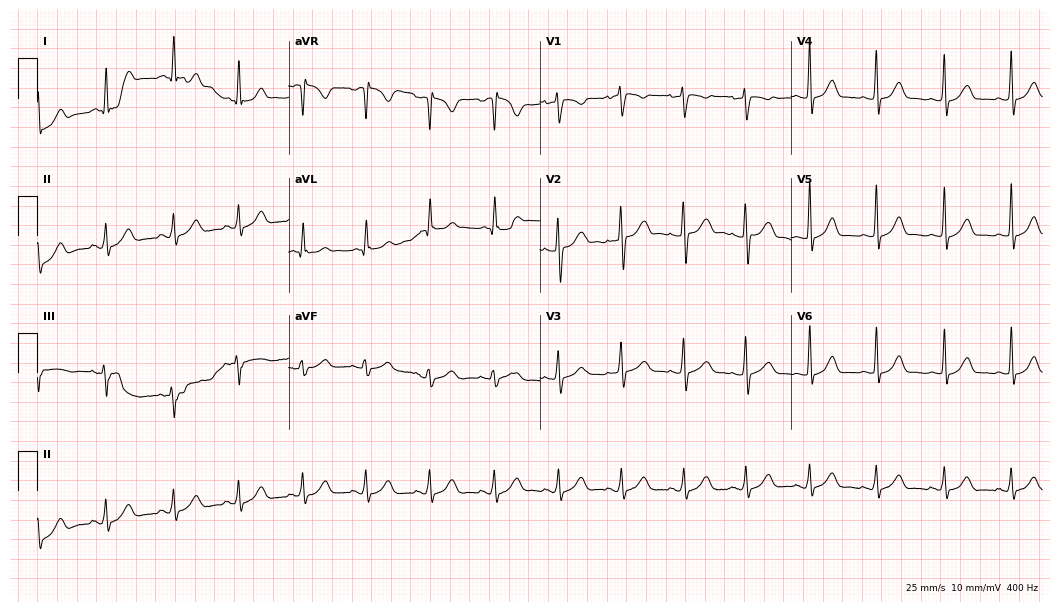
ECG — a female patient, 18 years old. Labelled as a normal ECG.